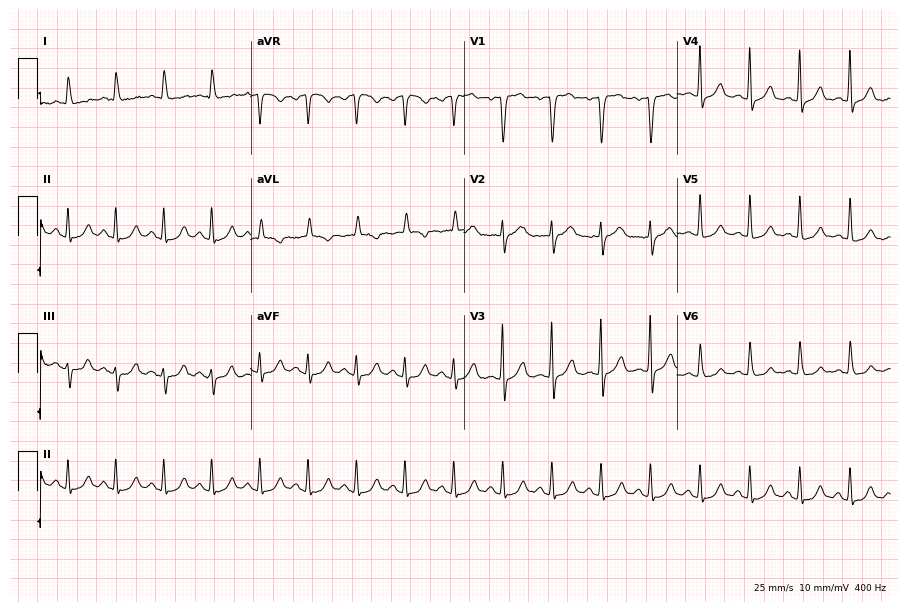
ECG — a man, 54 years old. Findings include sinus tachycardia (a sinus rate of 100 beats per minute or more).